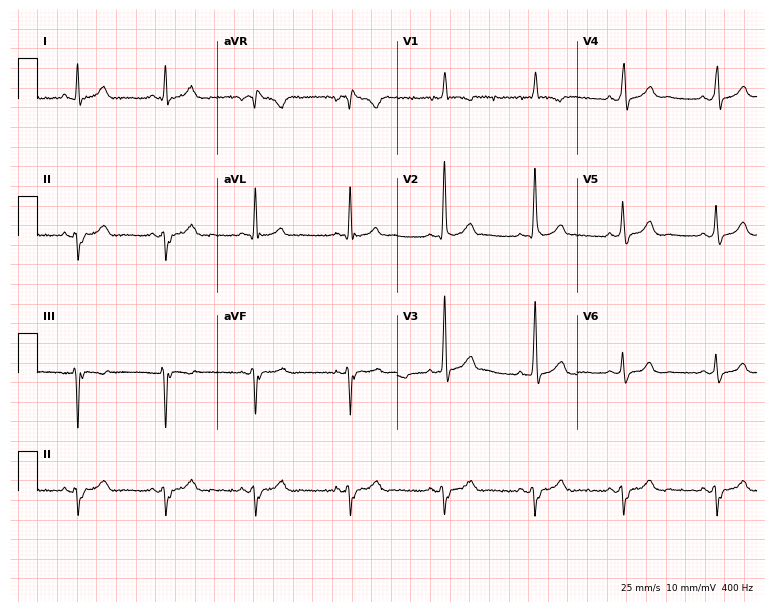
ECG — a 43-year-old male patient. Screened for six findings — first-degree AV block, right bundle branch block, left bundle branch block, sinus bradycardia, atrial fibrillation, sinus tachycardia — none is recorded.